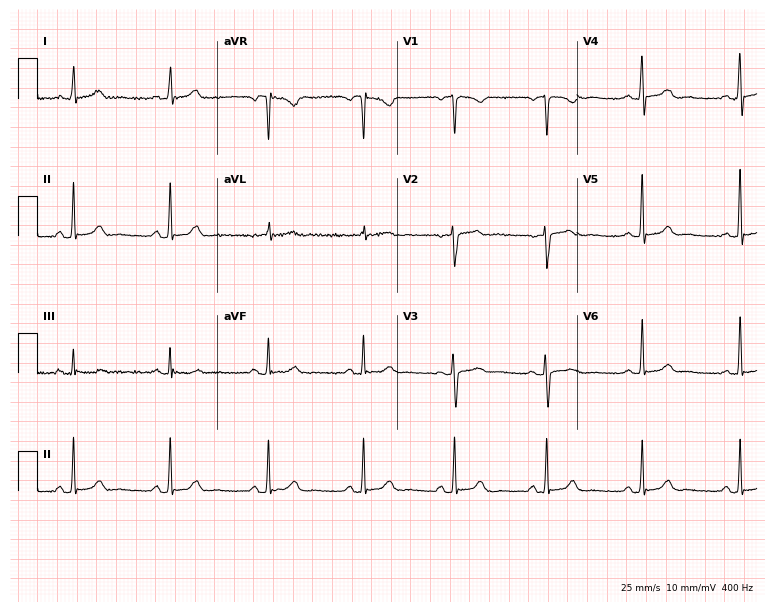
12-lead ECG from a male patient, 56 years old (7.3-second recording at 400 Hz). Recorded interpretation: within normal limits.